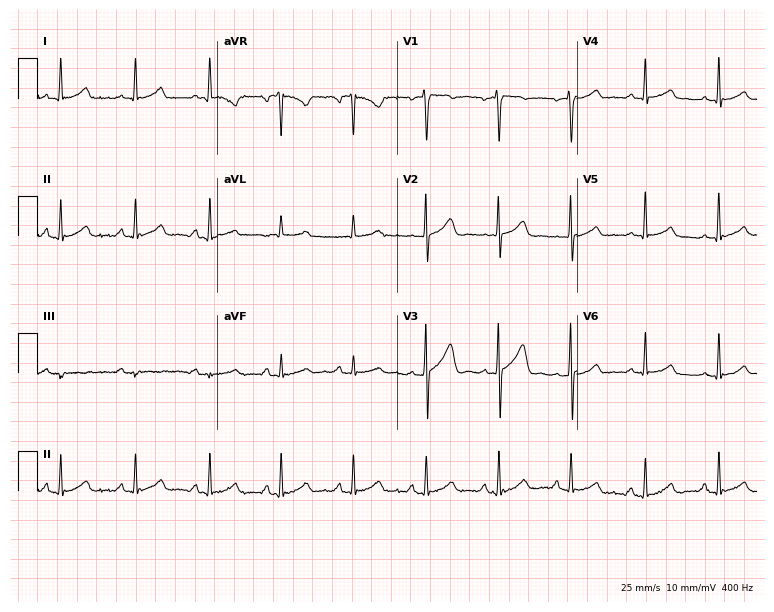
Resting 12-lead electrocardiogram. Patient: a woman, 46 years old. Read as a normal ECG.